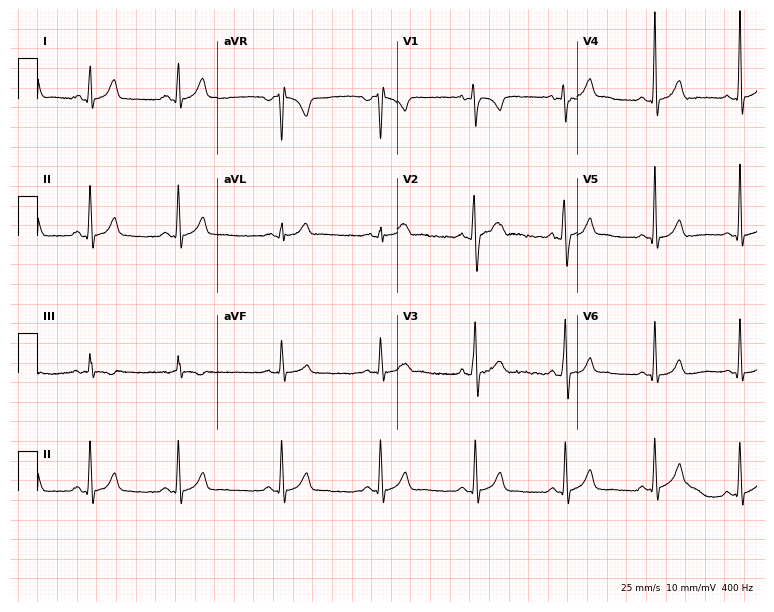
12-lead ECG from a man, 22 years old. Recorded interpretation: within normal limits.